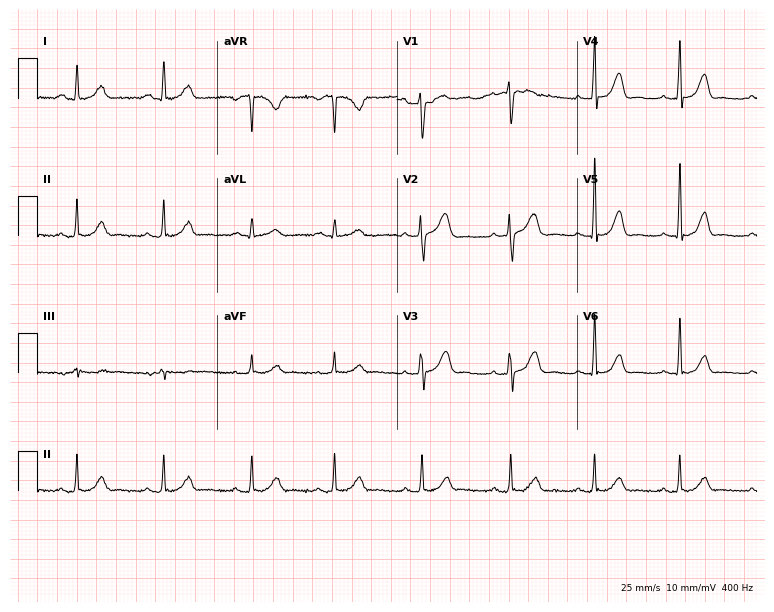
ECG — a 39-year-old female. Labelled as a normal ECG.